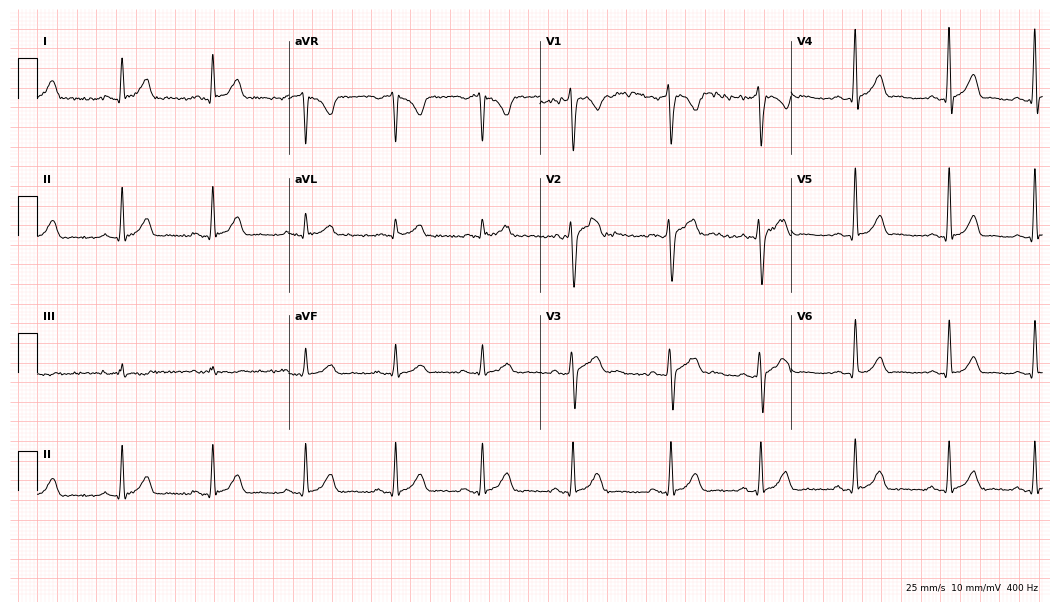
Resting 12-lead electrocardiogram (10.2-second recording at 400 Hz). Patient: a male, 26 years old. Read as a normal ECG.